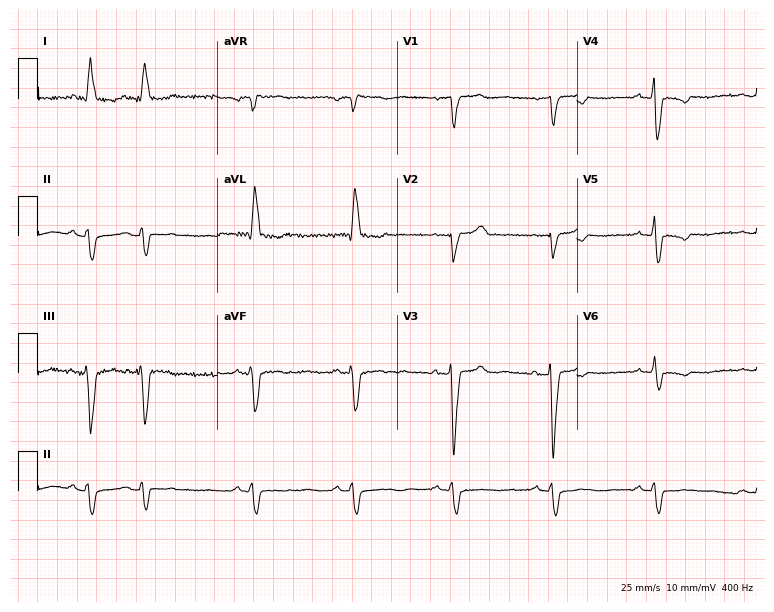
Resting 12-lead electrocardiogram (7.3-second recording at 400 Hz). Patient: an 82-year-old female. None of these six findings is recorded: first-degree AV block, right bundle branch block, left bundle branch block, sinus bradycardia, atrial fibrillation, sinus tachycardia. Other findings, if any, are not listed.